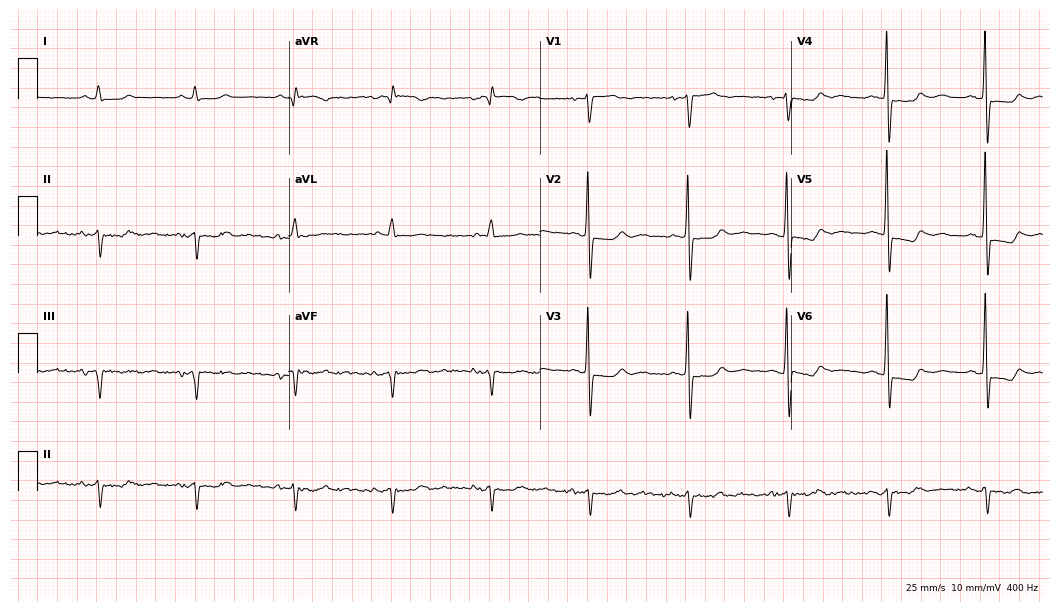
Electrocardiogram, an 80-year-old female patient. Of the six screened findings (first-degree AV block, right bundle branch block, left bundle branch block, sinus bradycardia, atrial fibrillation, sinus tachycardia), none is recorded. Only these six findings were labelled.